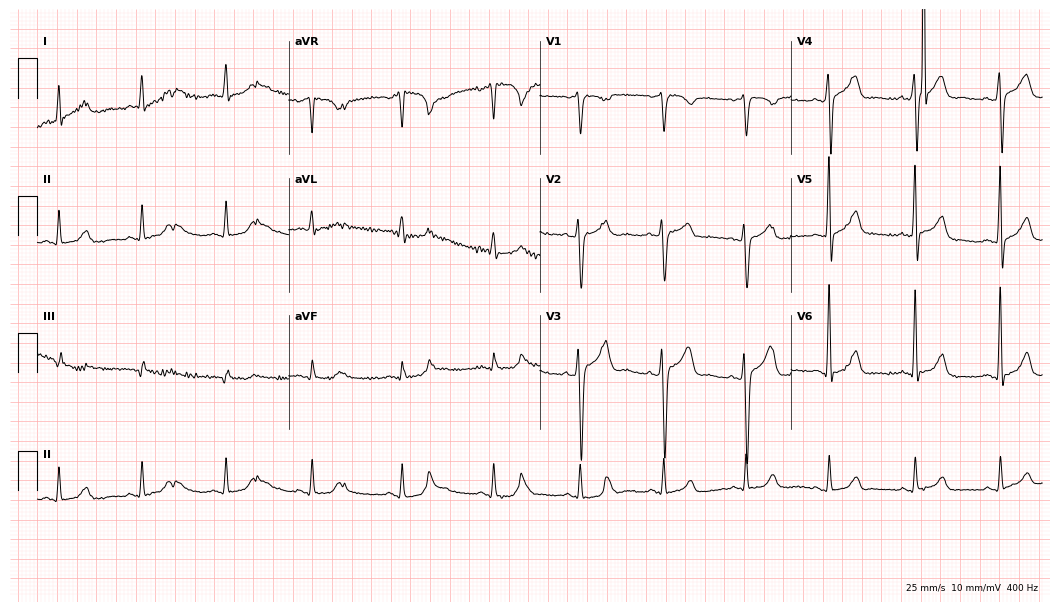
Electrocardiogram (10.2-second recording at 400 Hz), a man, 41 years old. Of the six screened findings (first-degree AV block, right bundle branch block, left bundle branch block, sinus bradycardia, atrial fibrillation, sinus tachycardia), none is recorded.